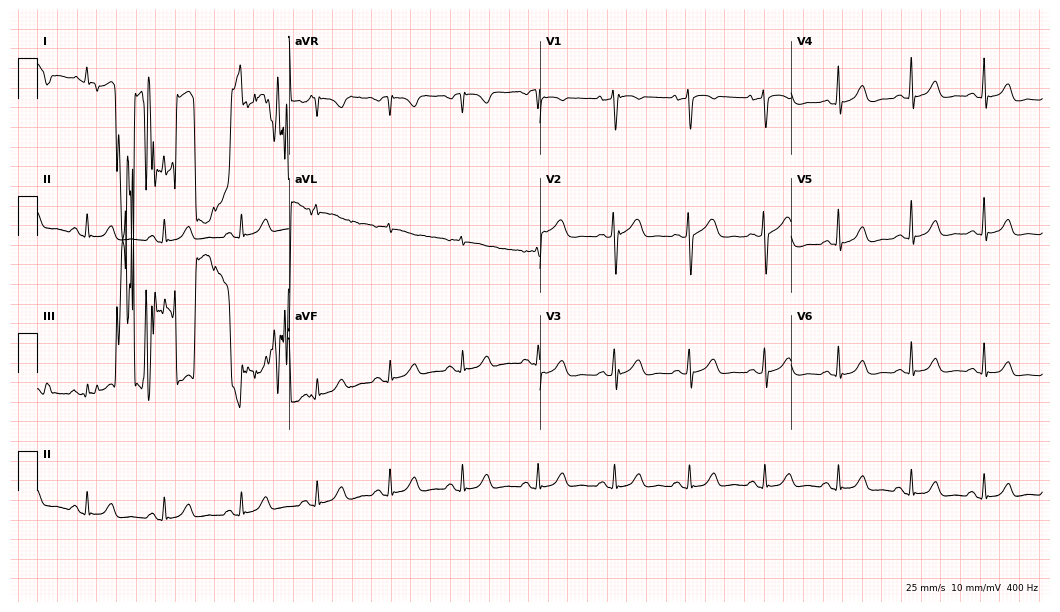
12-lead ECG from a 63-year-old female patient. Recorded interpretation: within normal limits.